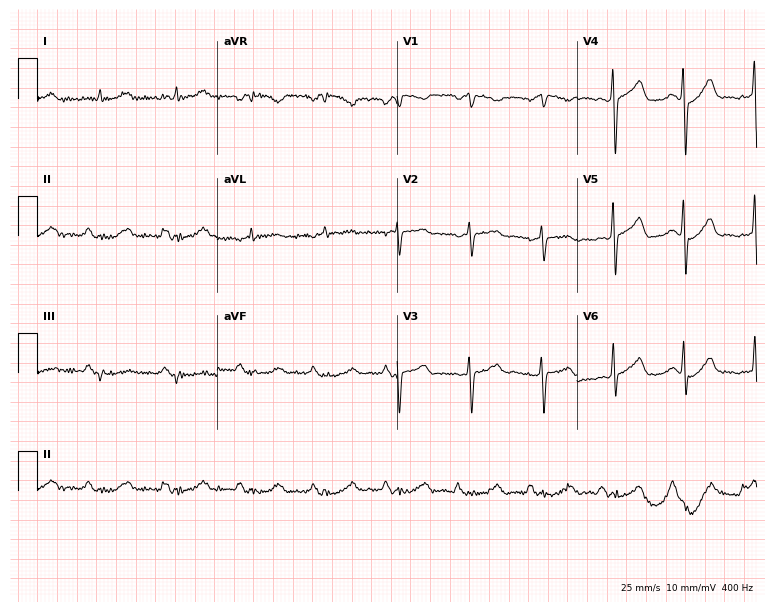
12-lead ECG from a 79-year-old male (7.3-second recording at 400 Hz). No first-degree AV block, right bundle branch block, left bundle branch block, sinus bradycardia, atrial fibrillation or sinus tachycardia recorded for this tracing.